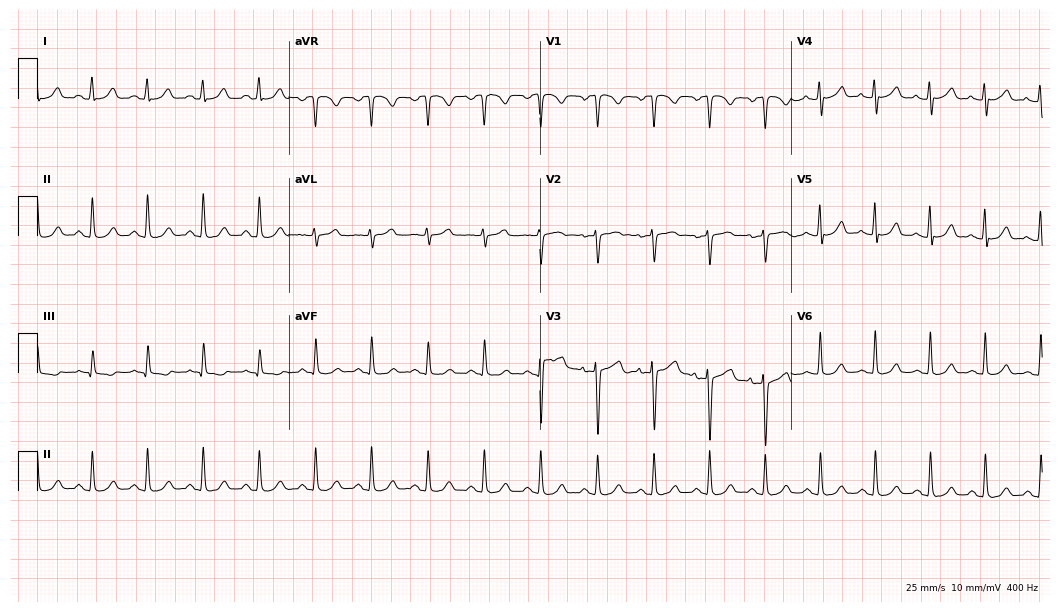
Standard 12-lead ECG recorded from a woman, 17 years old. The tracing shows sinus tachycardia (a sinus rate of 100 beats per minute or more).